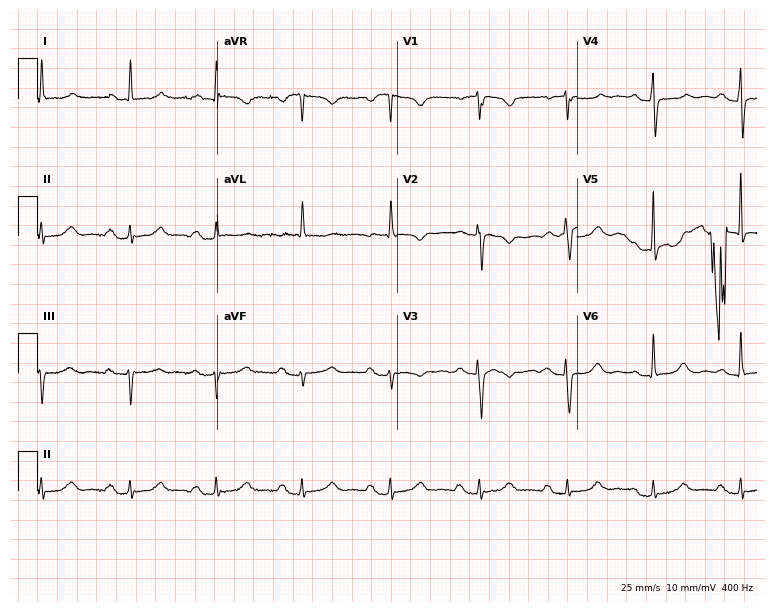
ECG (7.3-second recording at 400 Hz) — a 79-year-old female patient. Findings include first-degree AV block.